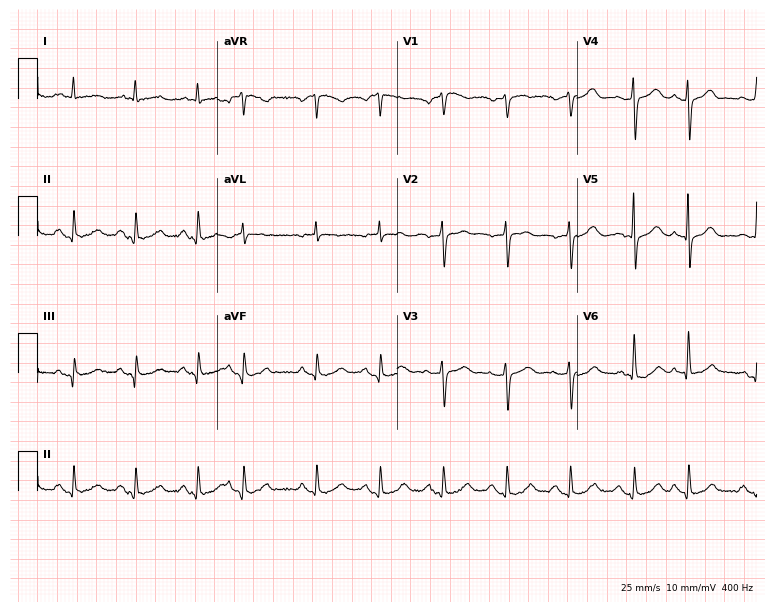
Standard 12-lead ECG recorded from a male patient, 58 years old (7.3-second recording at 400 Hz). Read as a normal ECG.